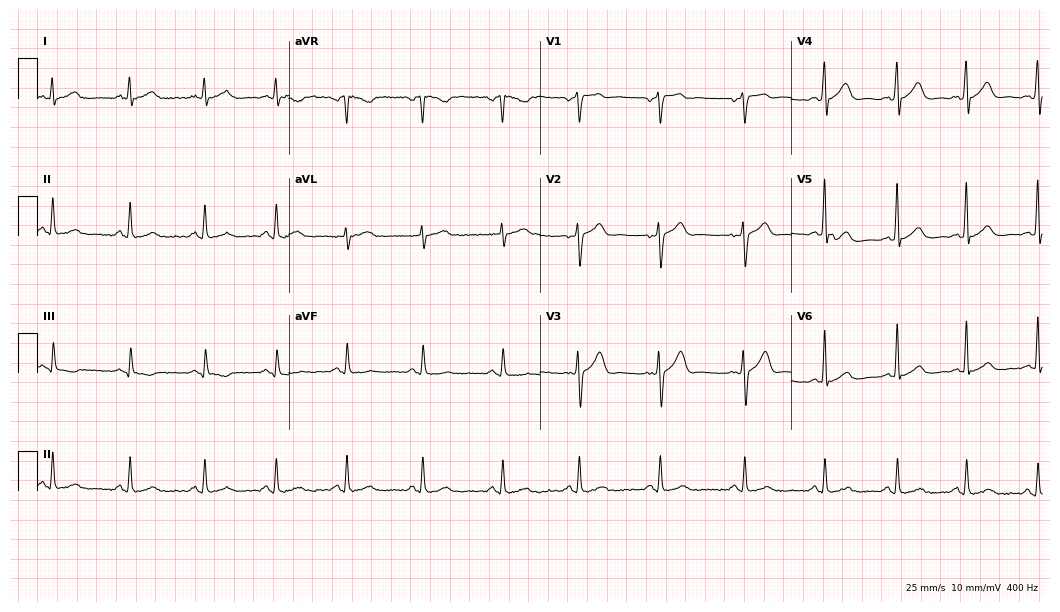
Electrocardiogram, a 48-year-old man. Of the six screened findings (first-degree AV block, right bundle branch block (RBBB), left bundle branch block (LBBB), sinus bradycardia, atrial fibrillation (AF), sinus tachycardia), none is recorded.